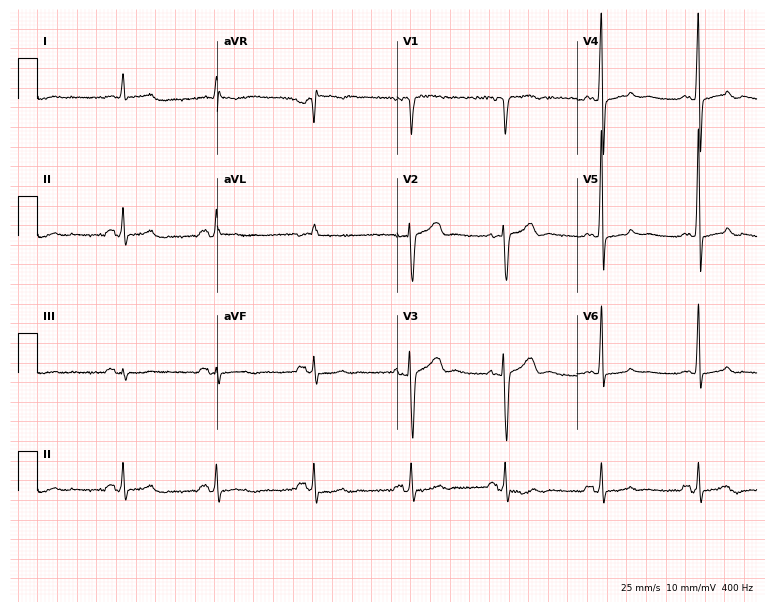
12-lead ECG from a man, 68 years old. No first-degree AV block, right bundle branch block (RBBB), left bundle branch block (LBBB), sinus bradycardia, atrial fibrillation (AF) or sinus tachycardia recorded for this tracing. Only these six findings were labelled.